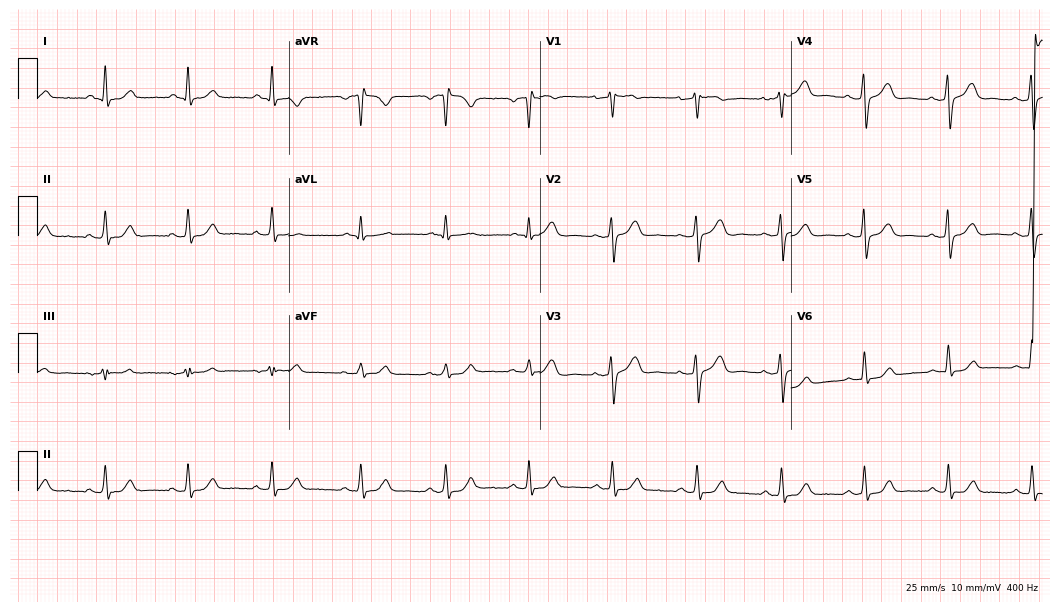
Resting 12-lead electrocardiogram (10.2-second recording at 400 Hz). Patient: a woman, 56 years old. Read as a normal ECG.